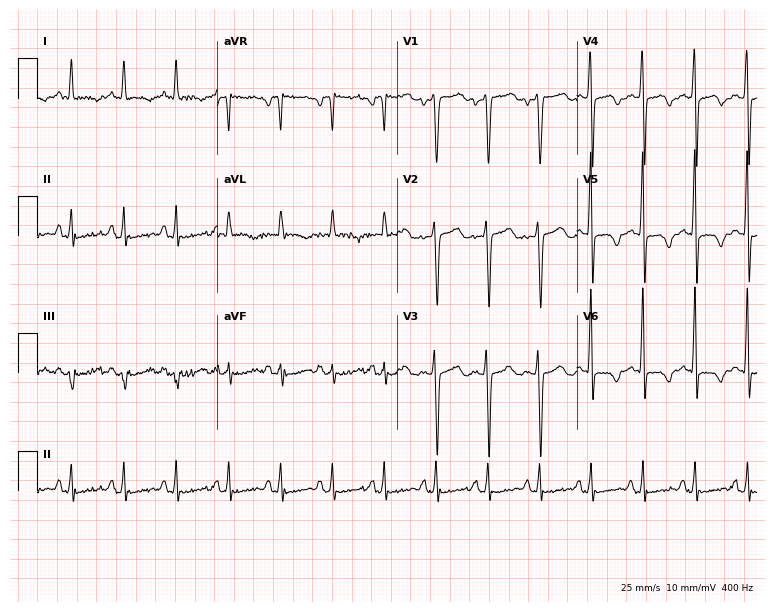
Electrocardiogram, a female patient, 38 years old. Interpretation includes sinus tachycardia (a sinus rate of 100 beats per minute or more).